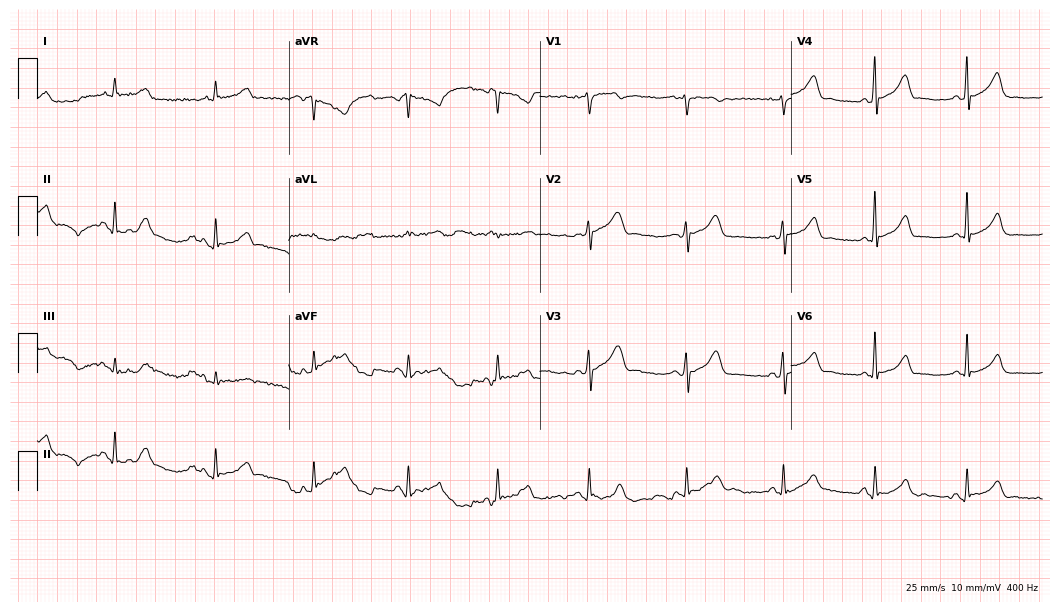
ECG (10.2-second recording at 400 Hz) — a 50-year-old female patient. Screened for six findings — first-degree AV block, right bundle branch block (RBBB), left bundle branch block (LBBB), sinus bradycardia, atrial fibrillation (AF), sinus tachycardia — none is recorded. Only these six findings were labelled.